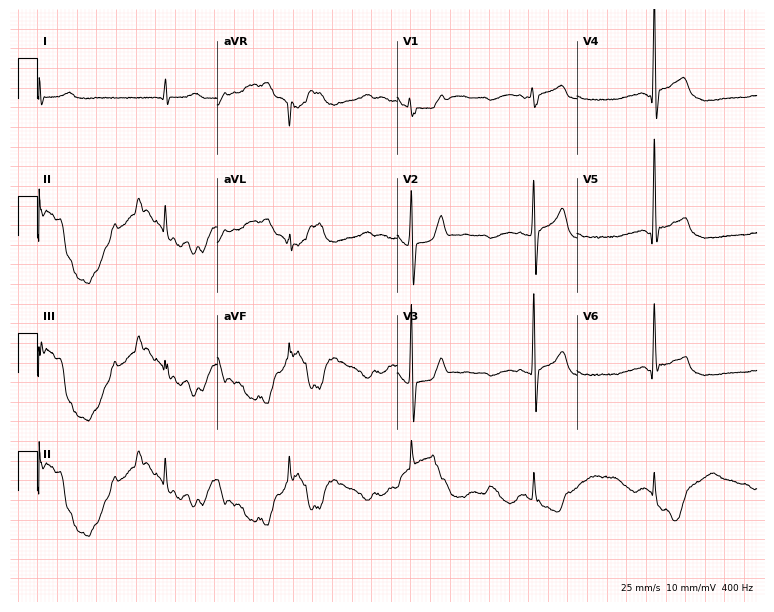
Standard 12-lead ECG recorded from a male, 75 years old. The tracing shows sinus bradycardia (a sinus rate of 50 beats per minute or less).